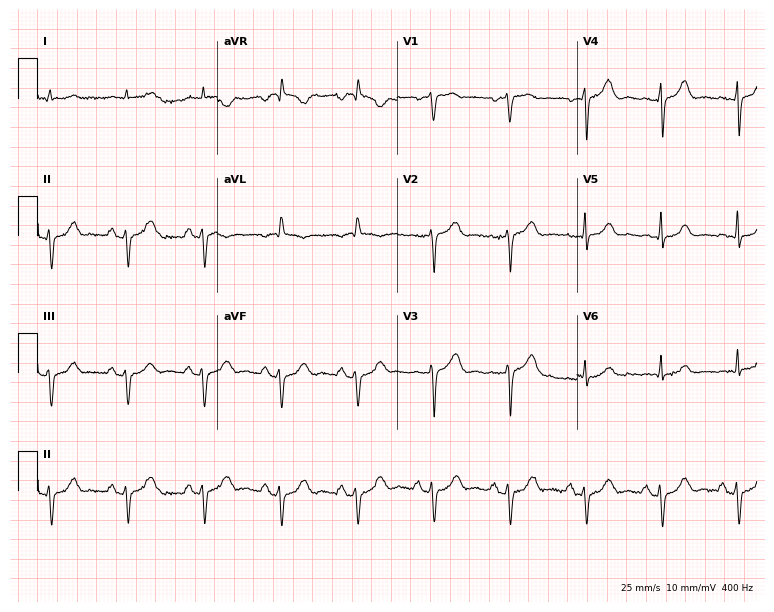
12-lead ECG from a man, 75 years old. No first-degree AV block, right bundle branch block (RBBB), left bundle branch block (LBBB), sinus bradycardia, atrial fibrillation (AF) or sinus tachycardia recorded for this tracing. Findings outside these six are not listed.